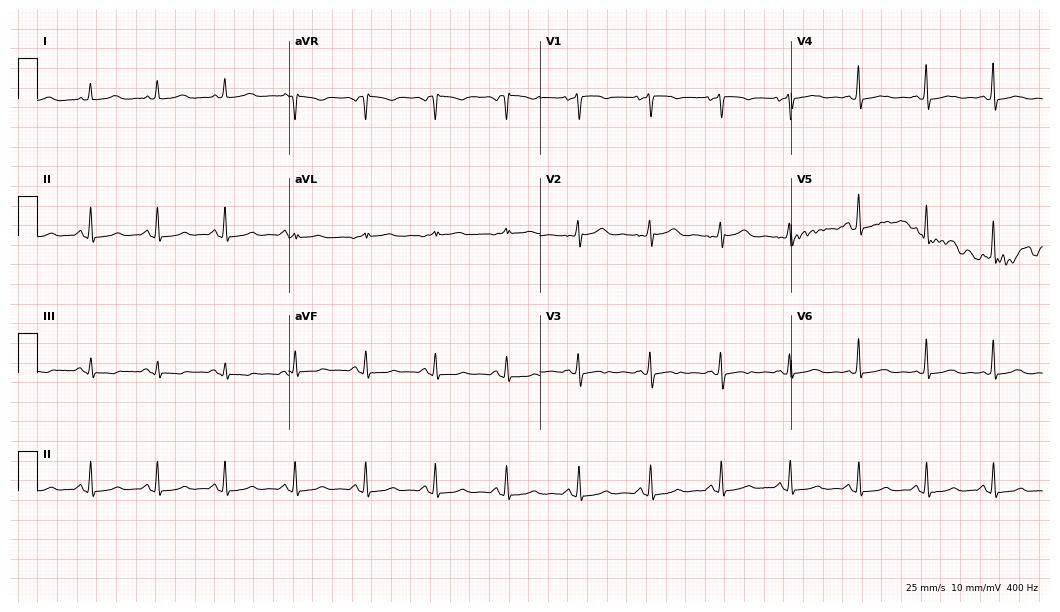
12-lead ECG from a 44-year-old woman. Screened for six findings — first-degree AV block, right bundle branch block, left bundle branch block, sinus bradycardia, atrial fibrillation, sinus tachycardia — none is recorded. Findings outside these six are not listed.